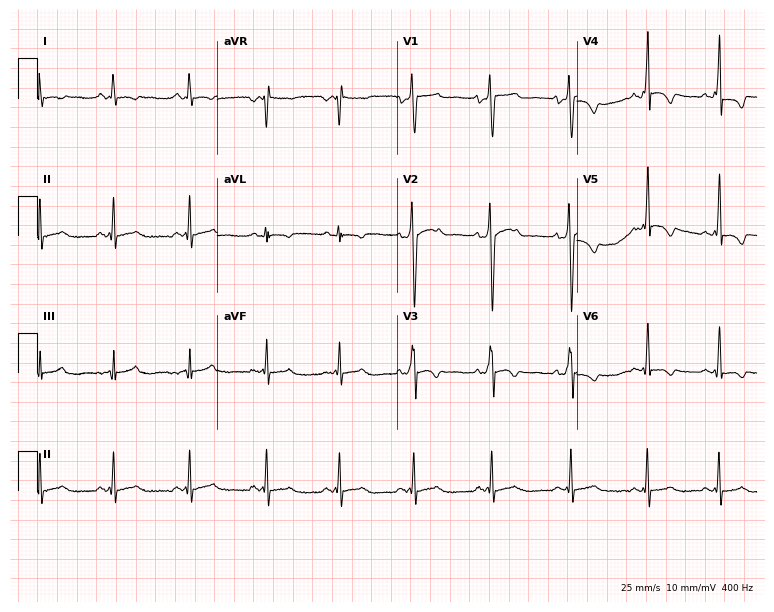
12-lead ECG from a 21-year-old male. No first-degree AV block, right bundle branch block (RBBB), left bundle branch block (LBBB), sinus bradycardia, atrial fibrillation (AF) or sinus tachycardia recorded for this tracing. Other findings, if any, are not listed.